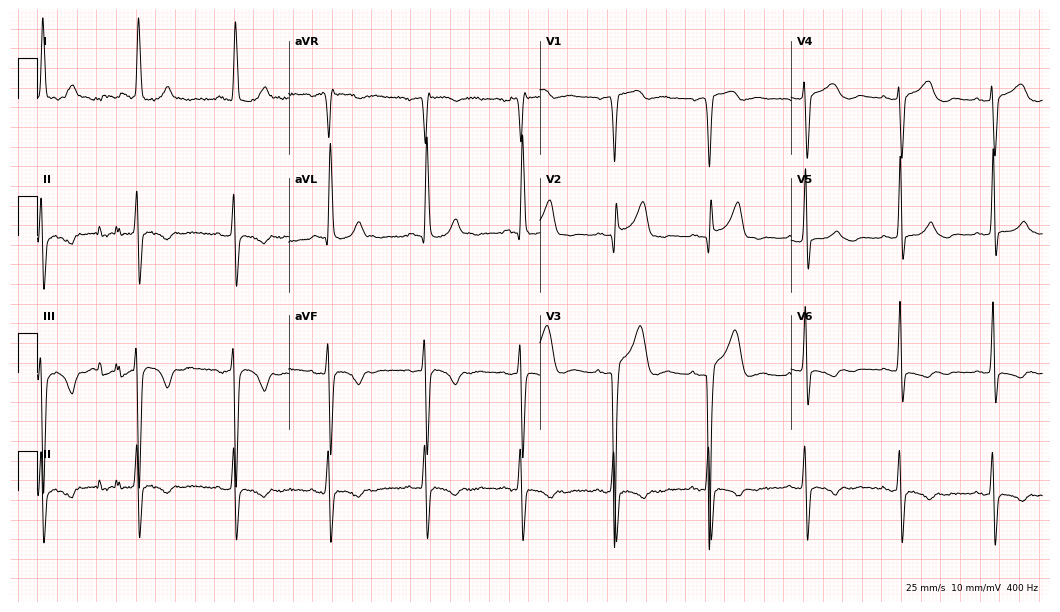
Resting 12-lead electrocardiogram. Patient: an 82-year-old woman. None of these six findings is recorded: first-degree AV block, right bundle branch block, left bundle branch block, sinus bradycardia, atrial fibrillation, sinus tachycardia. Other findings, if any, are not listed.